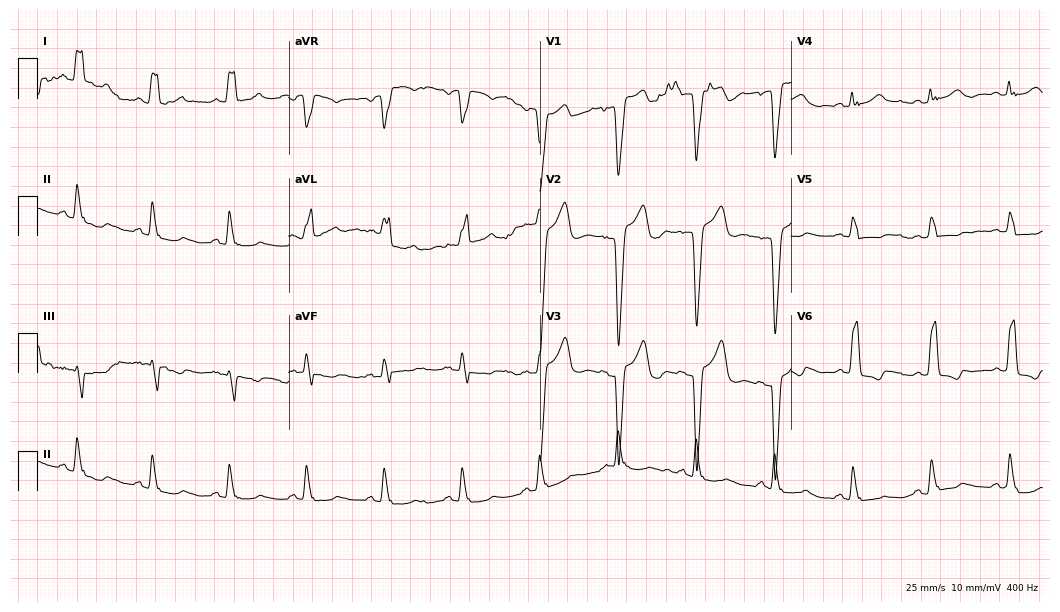
12-lead ECG from a woman, 71 years old (10.2-second recording at 400 Hz). Shows left bundle branch block (LBBB).